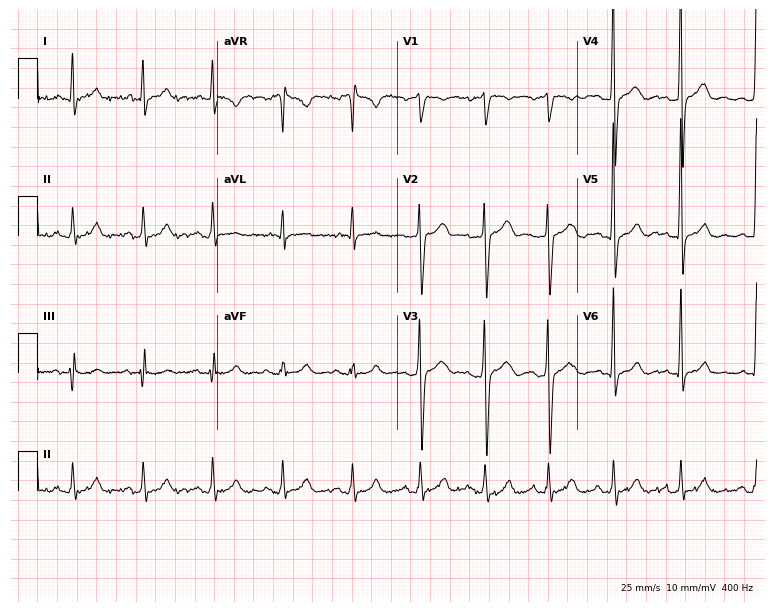
Standard 12-lead ECG recorded from a 47-year-old man (7.3-second recording at 400 Hz). None of these six findings is recorded: first-degree AV block, right bundle branch block (RBBB), left bundle branch block (LBBB), sinus bradycardia, atrial fibrillation (AF), sinus tachycardia.